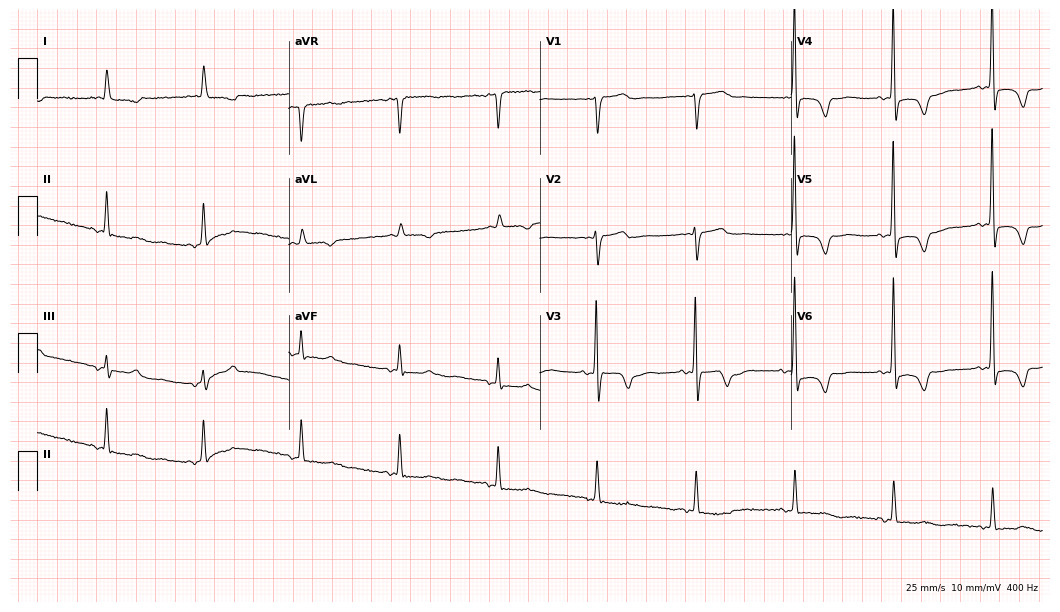
Resting 12-lead electrocardiogram (10.2-second recording at 400 Hz). Patient: an 86-year-old female. None of these six findings is recorded: first-degree AV block, right bundle branch block (RBBB), left bundle branch block (LBBB), sinus bradycardia, atrial fibrillation (AF), sinus tachycardia. Only these six findings were labelled.